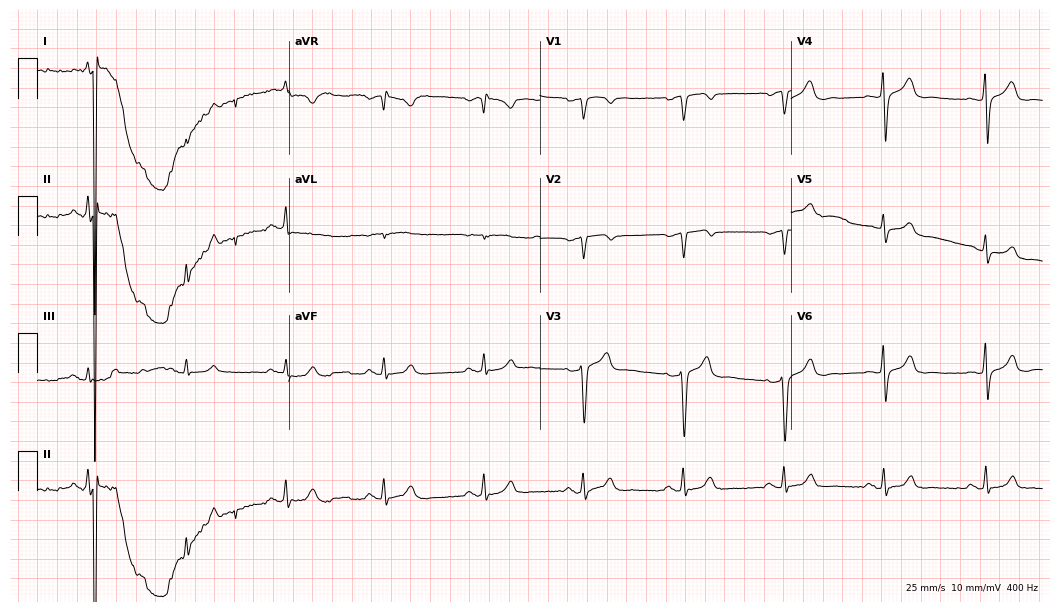
ECG — a 61-year-old male patient. Labelled as a normal ECG.